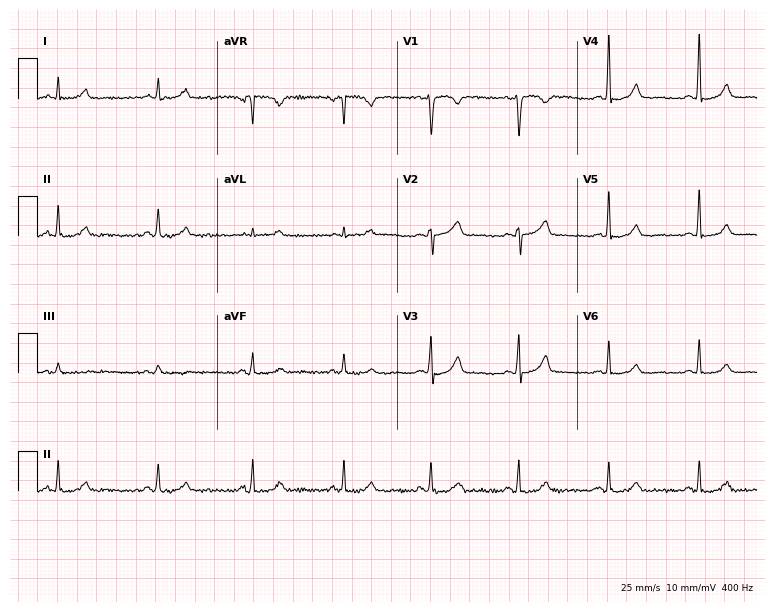
ECG (7.3-second recording at 400 Hz) — a woman, 45 years old. Labelled as a normal ECG.